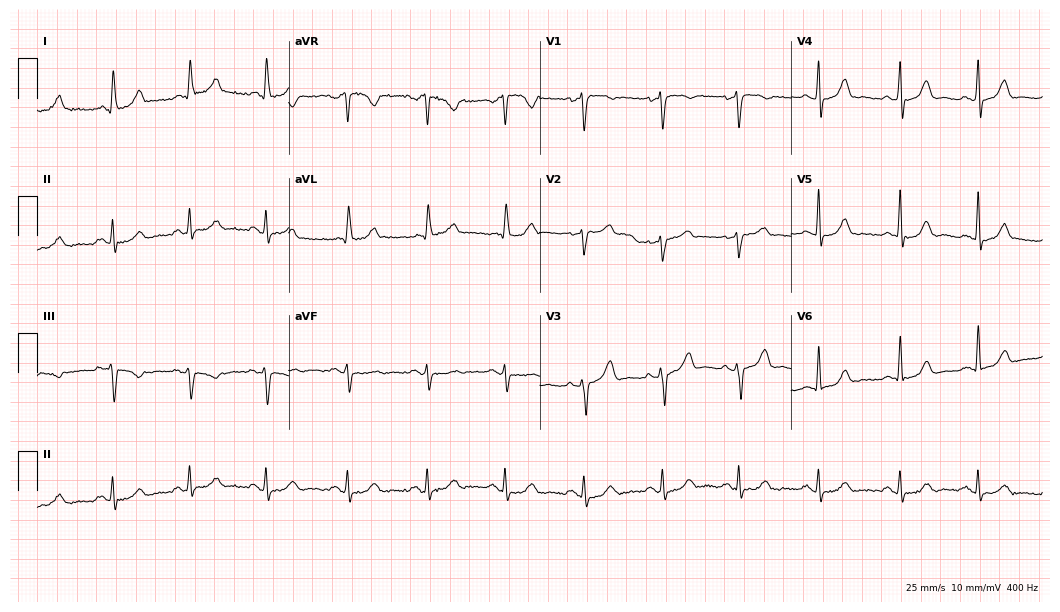
12-lead ECG from a woman, 63 years old. No first-degree AV block, right bundle branch block (RBBB), left bundle branch block (LBBB), sinus bradycardia, atrial fibrillation (AF) or sinus tachycardia recorded for this tracing. Only these six findings were labelled.